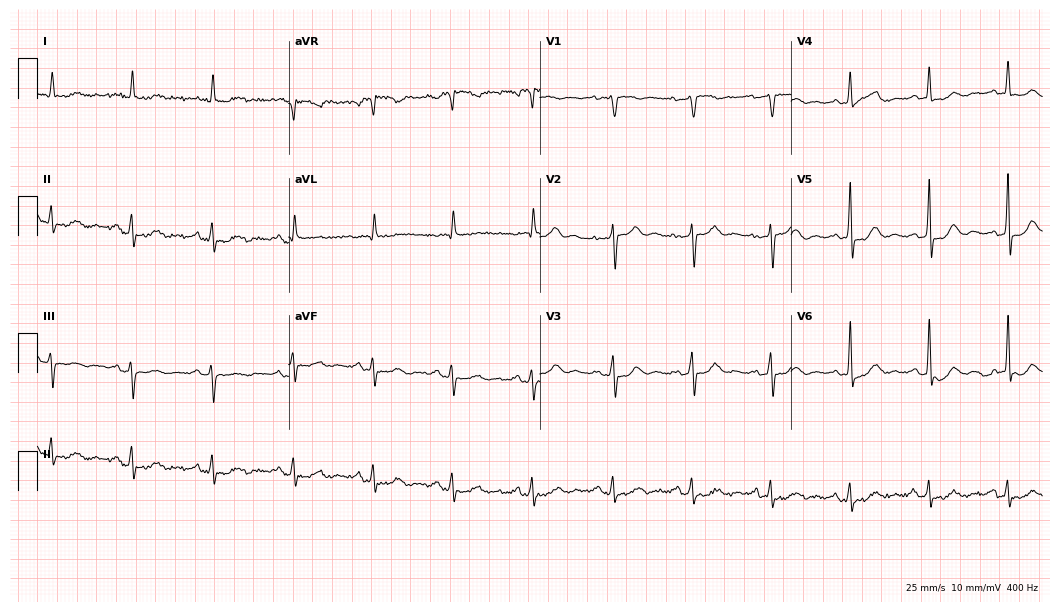
Electrocardiogram (10.2-second recording at 400 Hz), a man, 81 years old. Of the six screened findings (first-degree AV block, right bundle branch block (RBBB), left bundle branch block (LBBB), sinus bradycardia, atrial fibrillation (AF), sinus tachycardia), none is recorded.